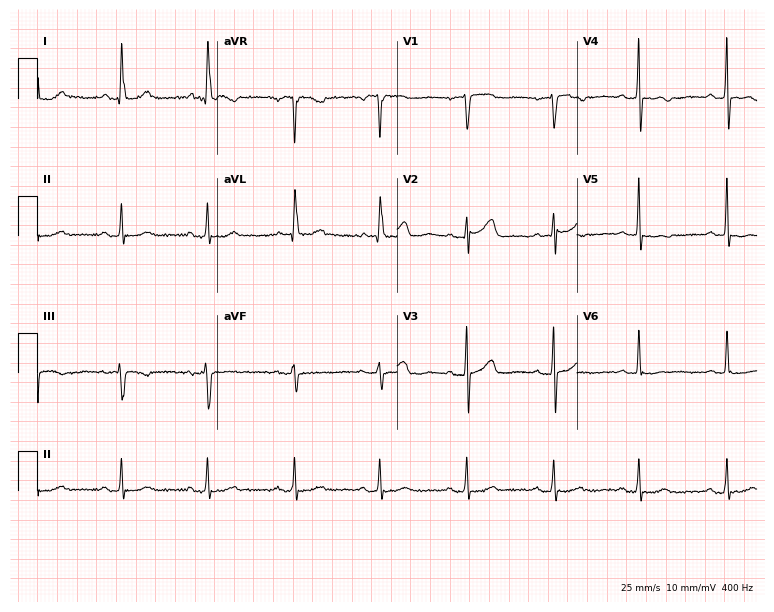
Electrocardiogram (7.3-second recording at 400 Hz), a 74-year-old female patient. Overall reading on record: normal ECG.